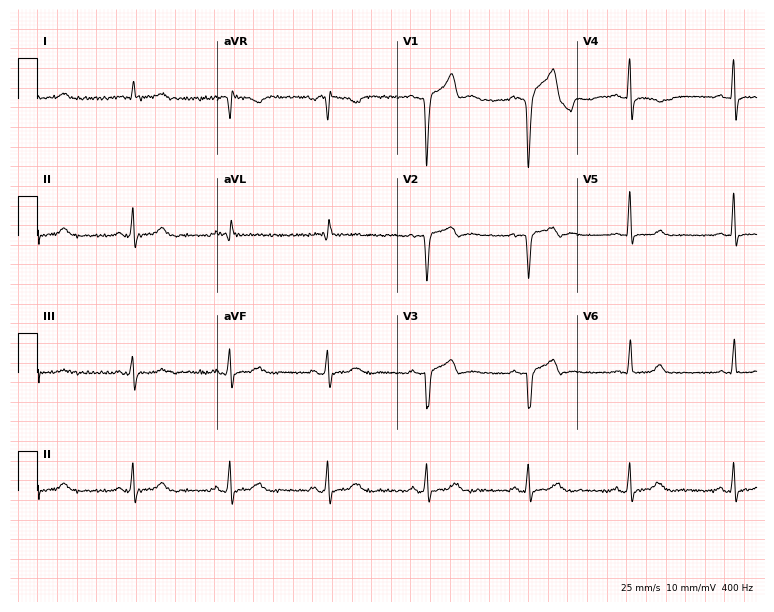
ECG — a male, 57 years old. Screened for six findings — first-degree AV block, right bundle branch block, left bundle branch block, sinus bradycardia, atrial fibrillation, sinus tachycardia — none is recorded. Only these six findings were labelled.